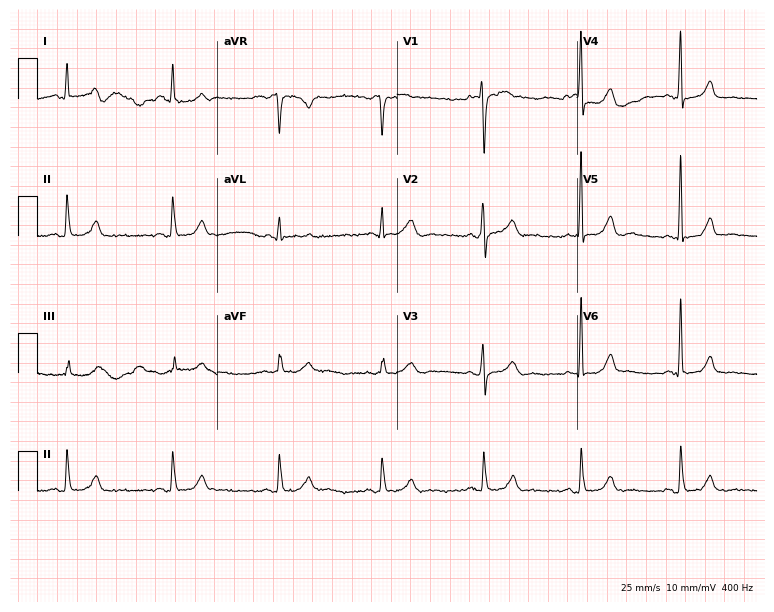
ECG — a 51-year-old female patient. Labelled as a normal ECG.